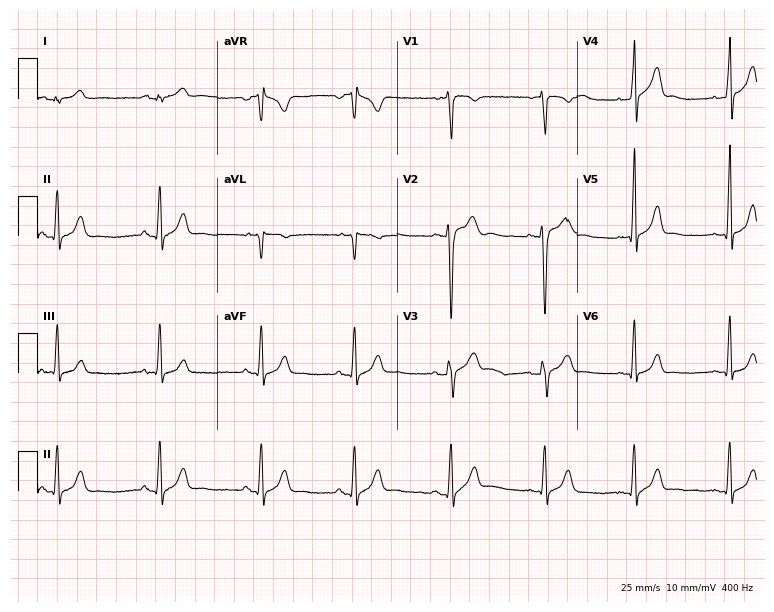
Resting 12-lead electrocardiogram. Patient: an 18-year-old male. None of these six findings is recorded: first-degree AV block, right bundle branch block, left bundle branch block, sinus bradycardia, atrial fibrillation, sinus tachycardia. Other findings, if any, are not listed.